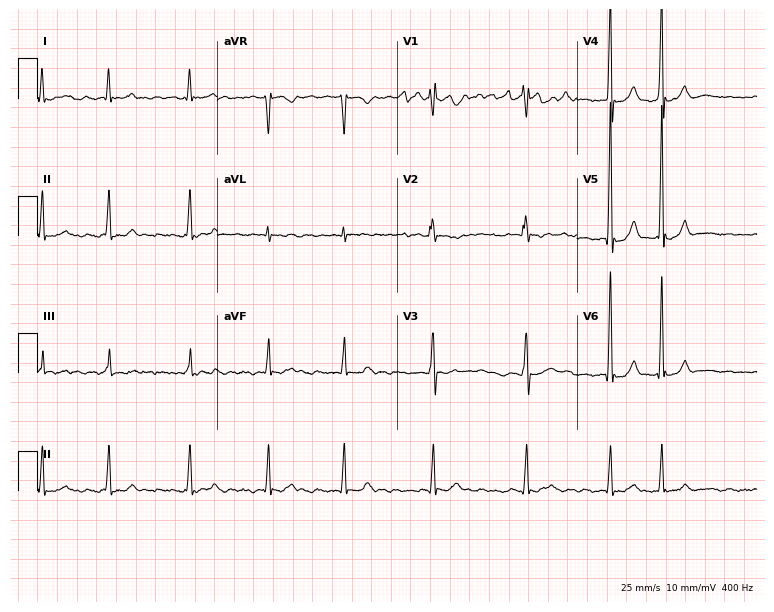
12-lead ECG from a 59-year-old female patient. Shows atrial fibrillation.